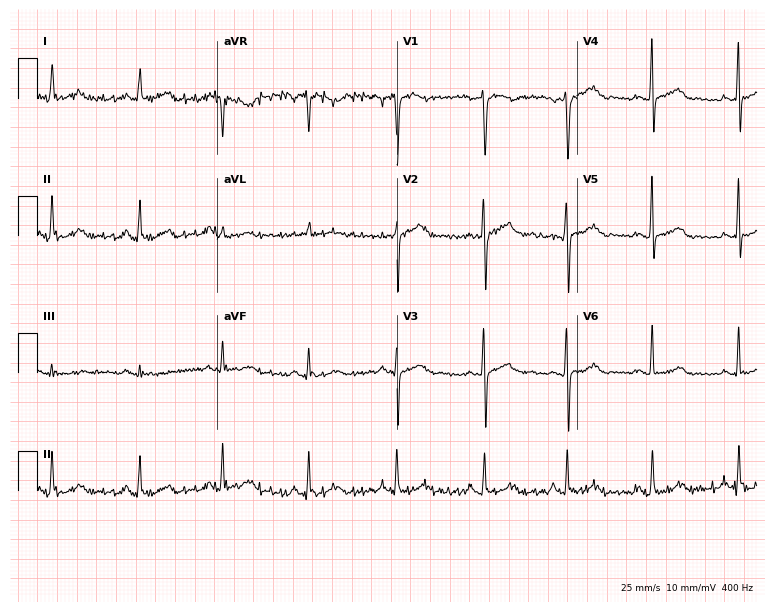
Electrocardiogram (7.3-second recording at 400 Hz), a female patient, 44 years old. Overall reading on record: normal ECG.